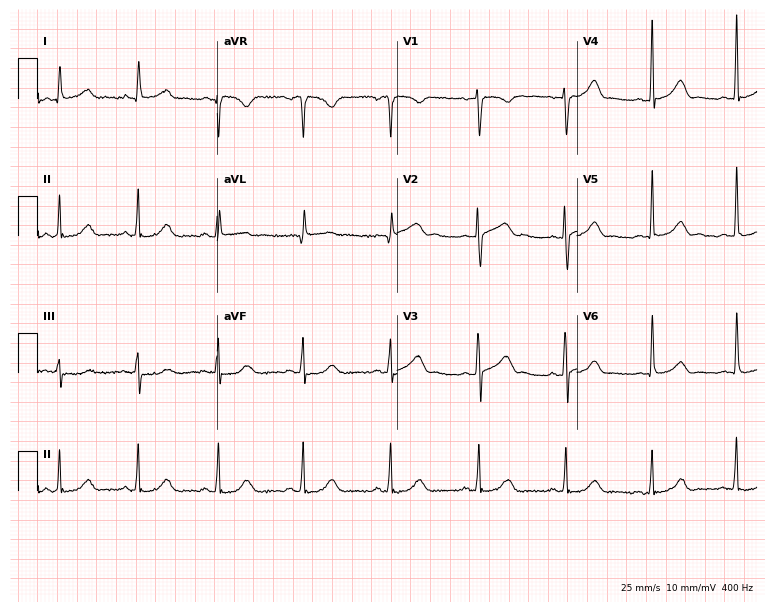
12-lead ECG from a woman, 36 years old. Recorded interpretation: within normal limits.